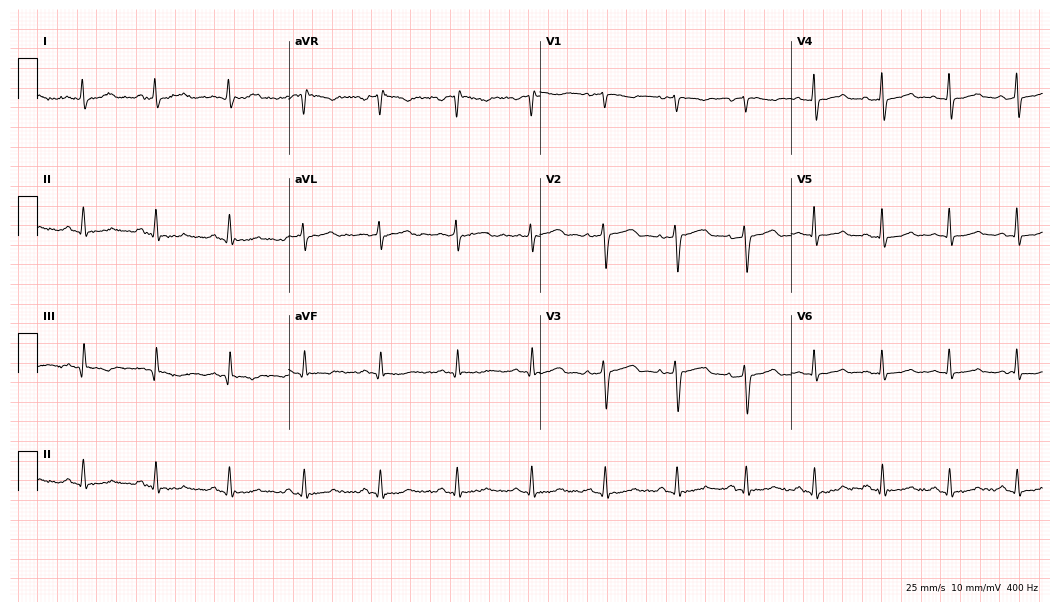
Electrocardiogram, a female patient, 46 years old. Overall reading on record: normal ECG.